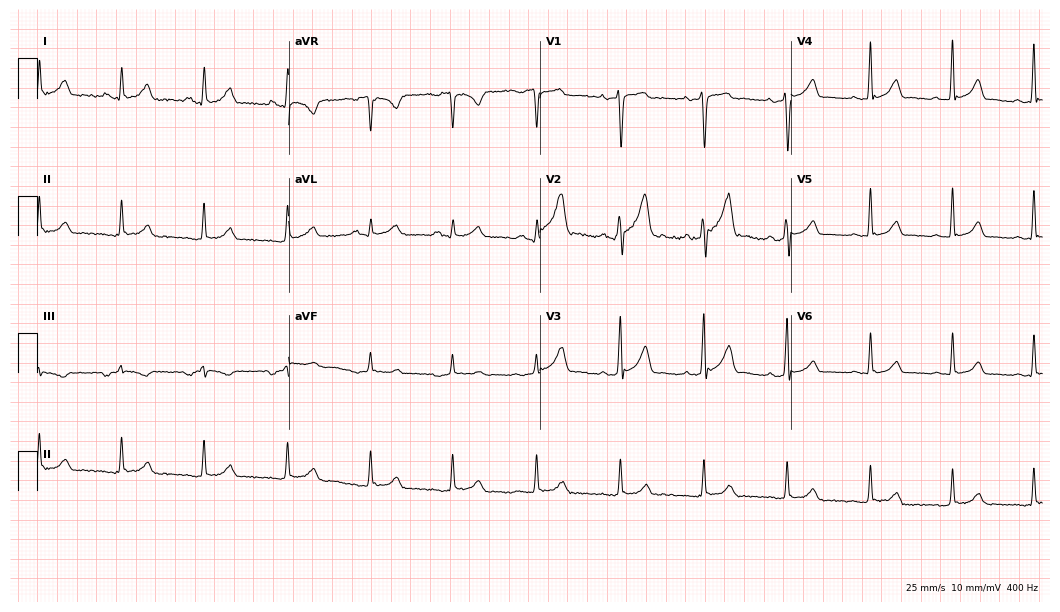
Electrocardiogram, a male, 40 years old. Overall reading on record: normal ECG.